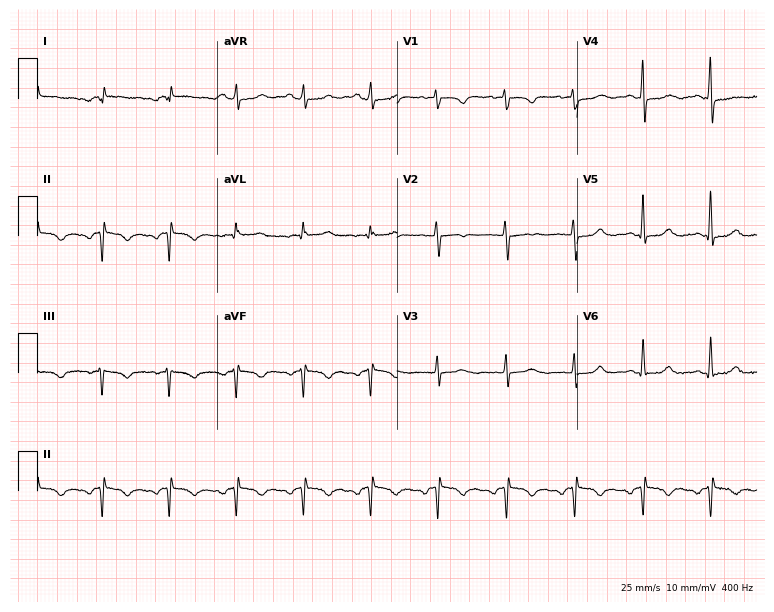
12-lead ECG from a female patient, 68 years old. No first-degree AV block, right bundle branch block, left bundle branch block, sinus bradycardia, atrial fibrillation or sinus tachycardia recorded for this tracing. Other findings, if any, are not listed.